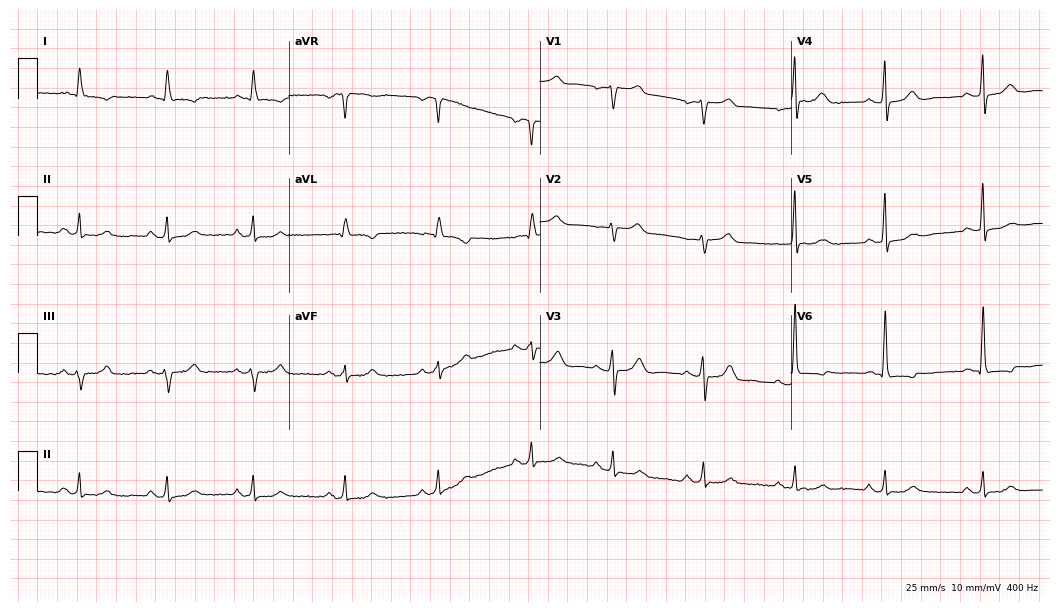
Standard 12-lead ECG recorded from a man, 68 years old. None of these six findings is recorded: first-degree AV block, right bundle branch block (RBBB), left bundle branch block (LBBB), sinus bradycardia, atrial fibrillation (AF), sinus tachycardia. Other findings, if any, are not listed.